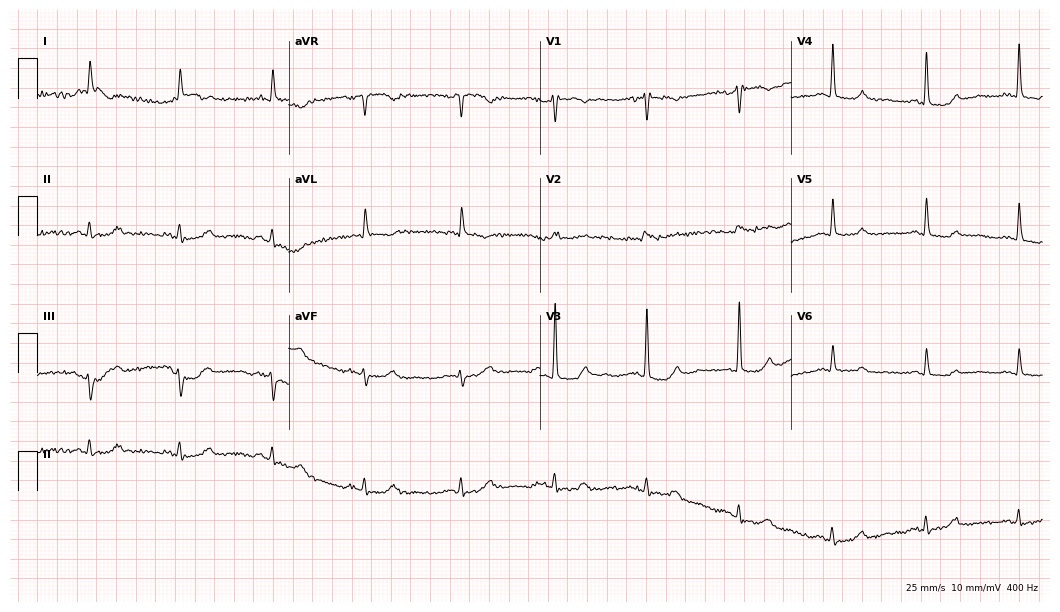
12-lead ECG from a female, 80 years old (10.2-second recording at 400 Hz). No first-degree AV block, right bundle branch block, left bundle branch block, sinus bradycardia, atrial fibrillation or sinus tachycardia recorded for this tracing.